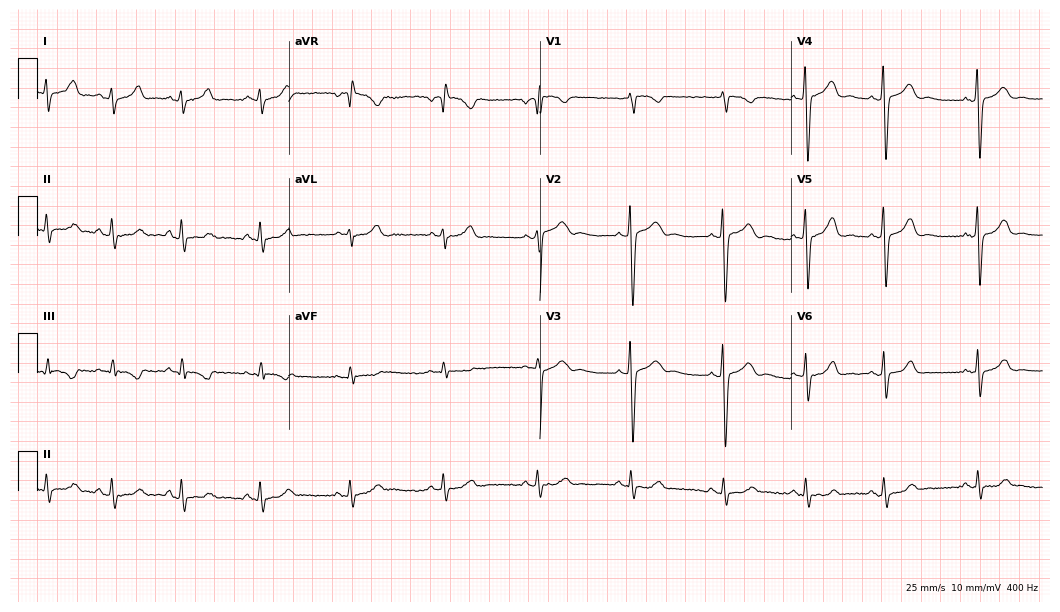
Standard 12-lead ECG recorded from a 47-year-old female patient. None of these six findings is recorded: first-degree AV block, right bundle branch block (RBBB), left bundle branch block (LBBB), sinus bradycardia, atrial fibrillation (AF), sinus tachycardia.